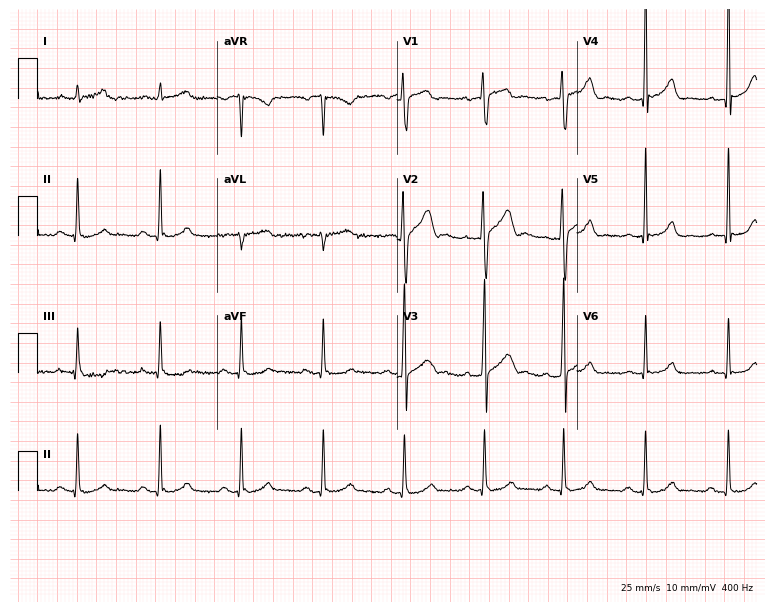
12-lead ECG from a 30-year-old male. Labelled as a normal ECG.